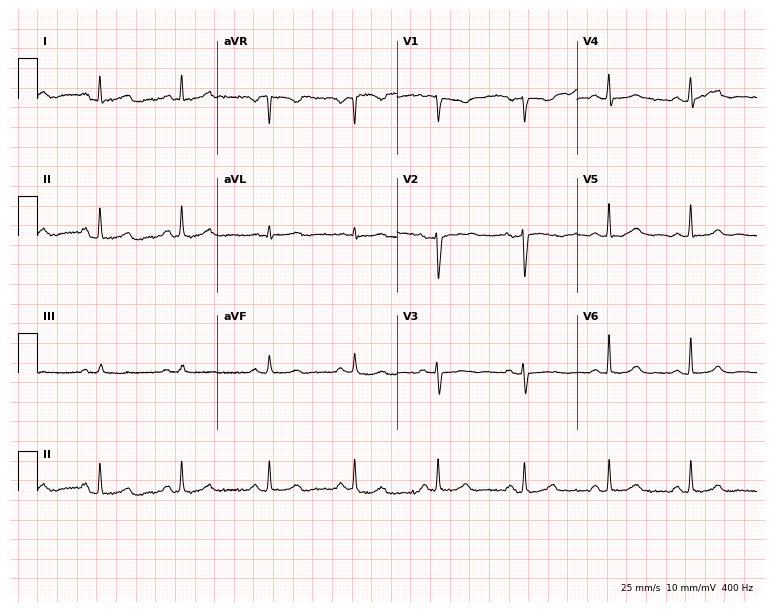
Standard 12-lead ECG recorded from a female patient, 41 years old. Read as a normal ECG.